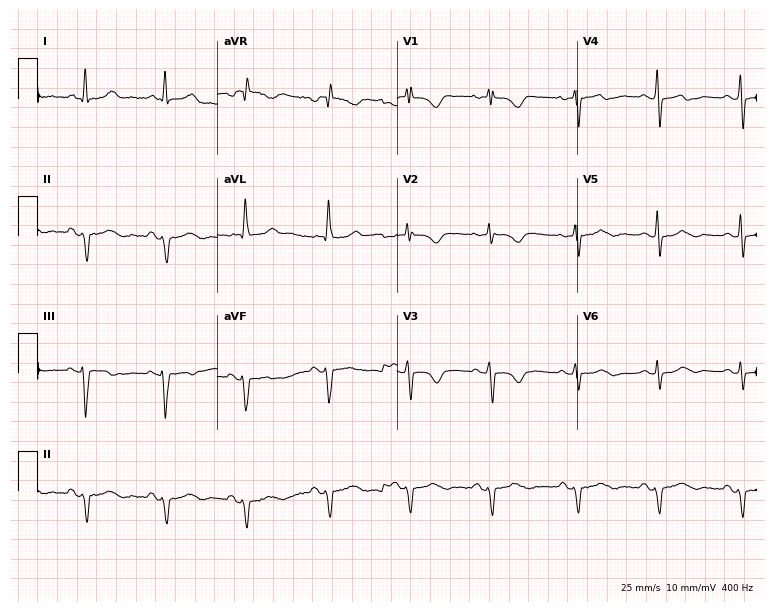
Electrocardiogram (7.3-second recording at 400 Hz), a female patient, 65 years old. Of the six screened findings (first-degree AV block, right bundle branch block, left bundle branch block, sinus bradycardia, atrial fibrillation, sinus tachycardia), none is recorded. Only these six findings were labelled.